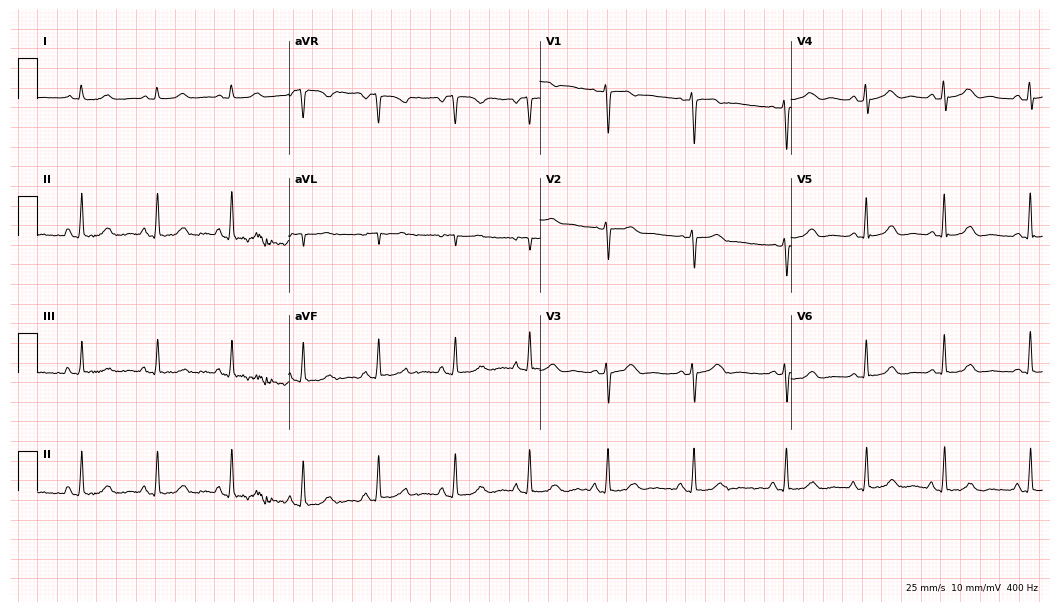
Resting 12-lead electrocardiogram (10.2-second recording at 400 Hz). Patient: a female, 66 years old. Read as a normal ECG.